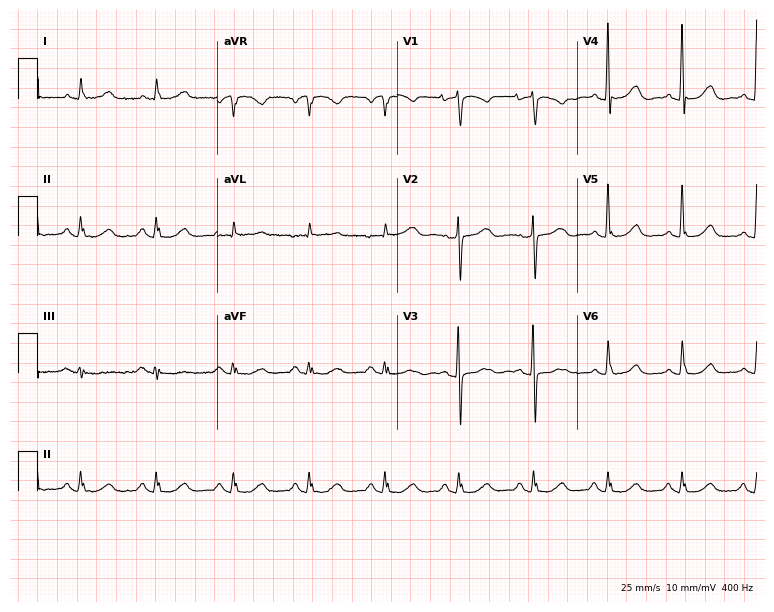
Resting 12-lead electrocardiogram (7.3-second recording at 400 Hz). Patient: a female, 83 years old. None of these six findings is recorded: first-degree AV block, right bundle branch block (RBBB), left bundle branch block (LBBB), sinus bradycardia, atrial fibrillation (AF), sinus tachycardia. Findings outside these six are not listed.